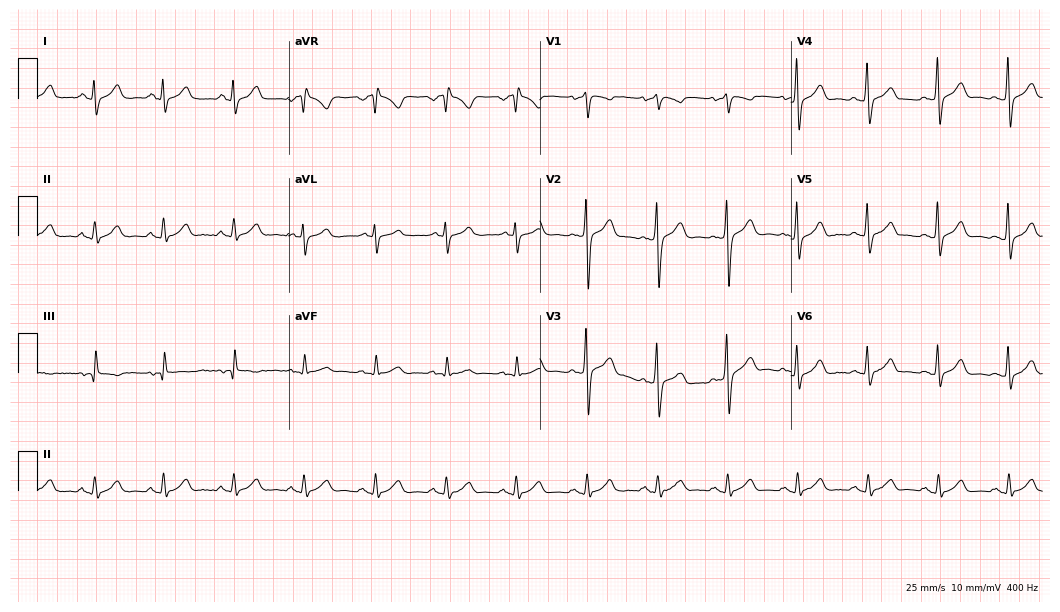
Standard 12-lead ECG recorded from a 41-year-old male. Read as a normal ECG.